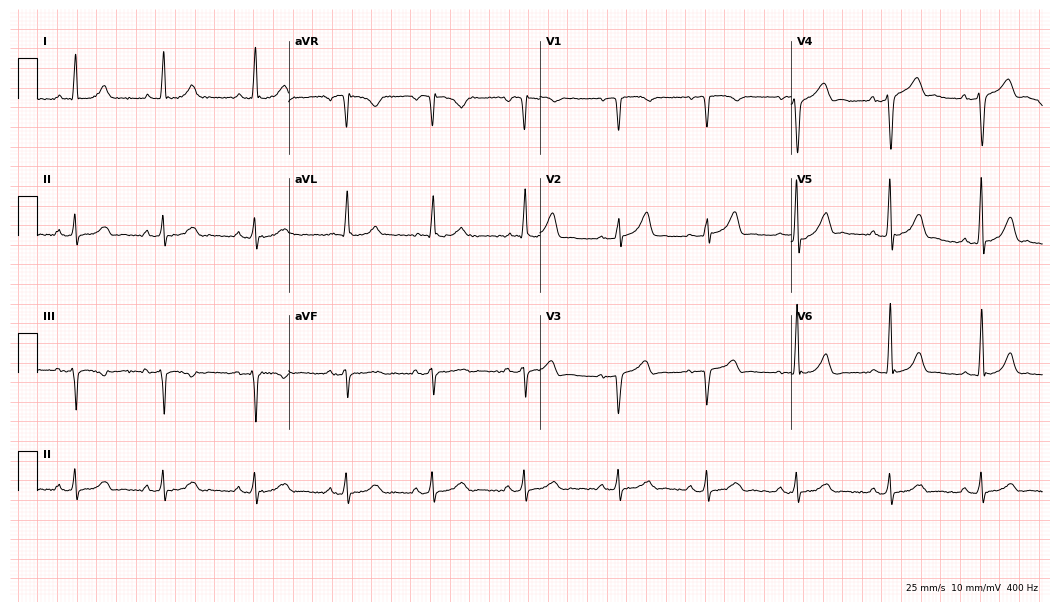
Electrocardiogram (10.2-second recording at 400 Hz), a male, 55 years old. Overall reading on record: normal ECG.